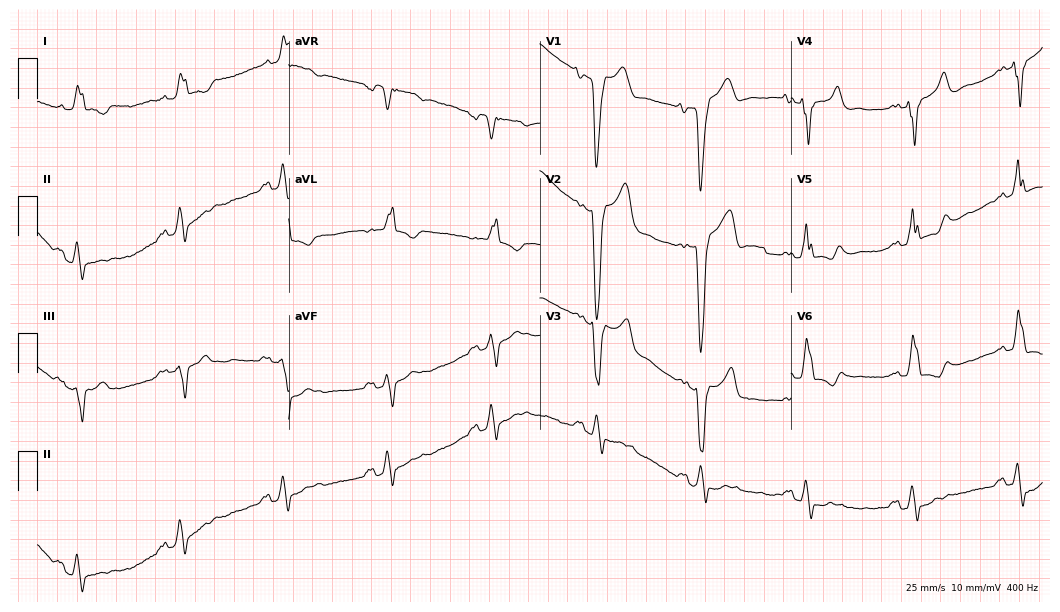
Electrocardiogram (10.2-second recording at 400 Hz), a female, 63 years old. Interpretation includes left bundle branch block.